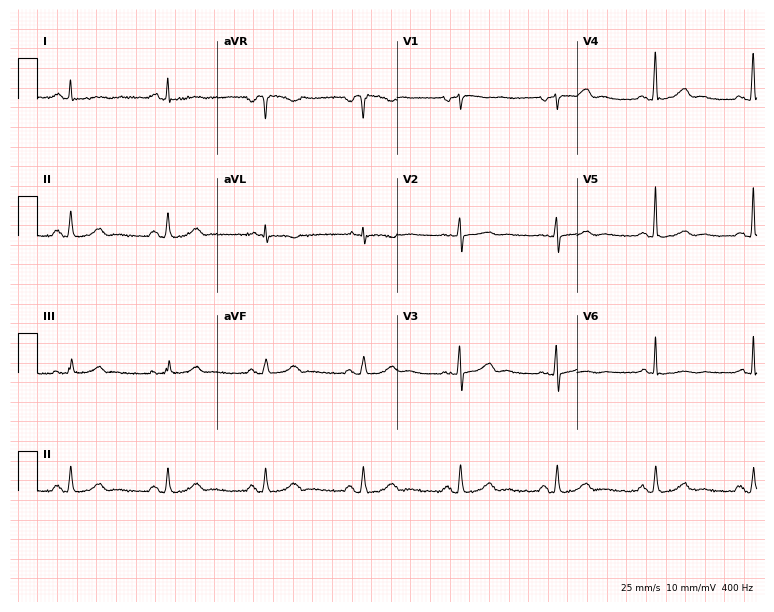
ECG — a female patient, 50 years old. Labelled as a normal ECG.